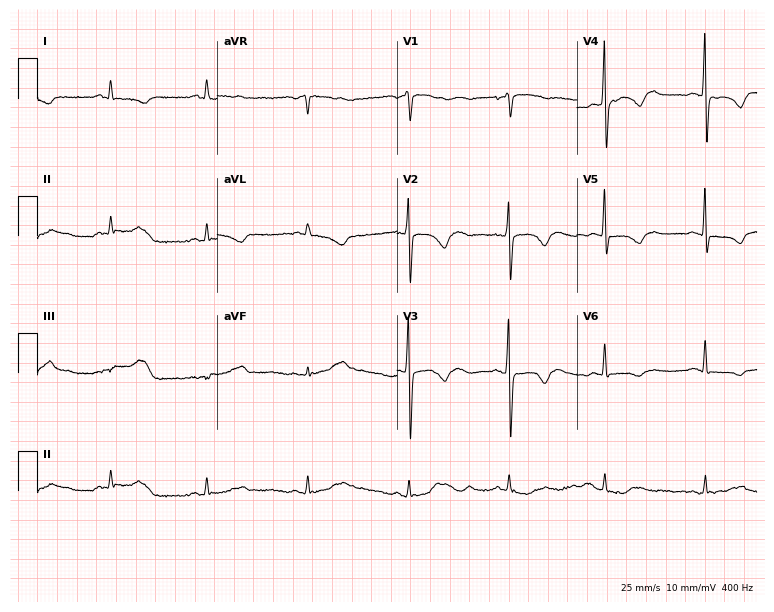
12-lead ECG from a 51-year-old female patient (7.3-second recording at 400 Hz). No first-degree AV block, right bundle branch block (RBBB), left bundle branch block (LBBB), sinus bradycardia, atrial fibrillation (AF) or sinus tachycardia recorded for this tracing. Findings outside these six are not listed.